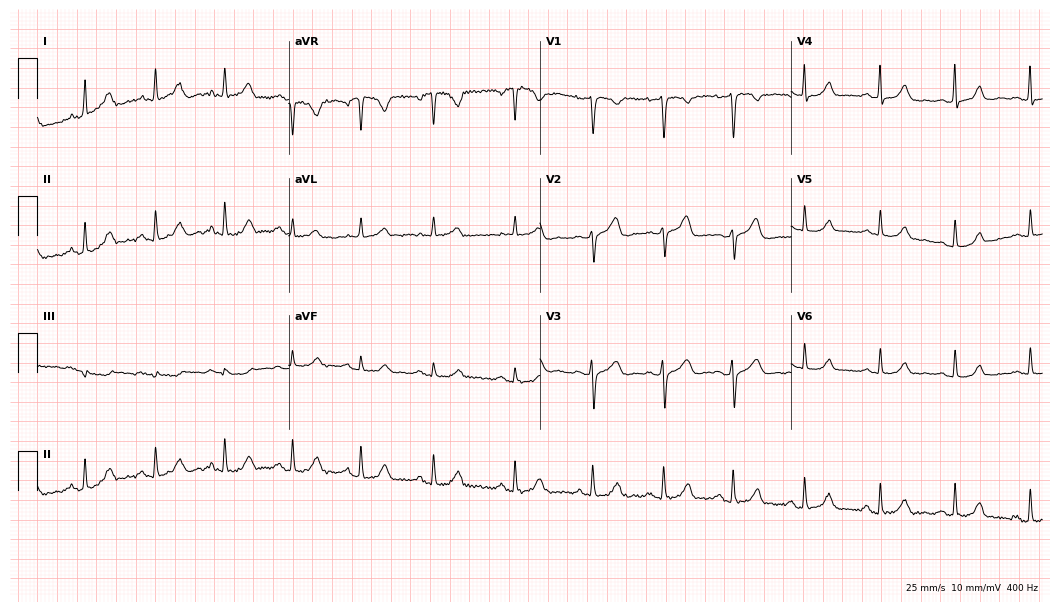
Electrocardiogram, a 48-year-old female. Overall reading on record: normal ECG.